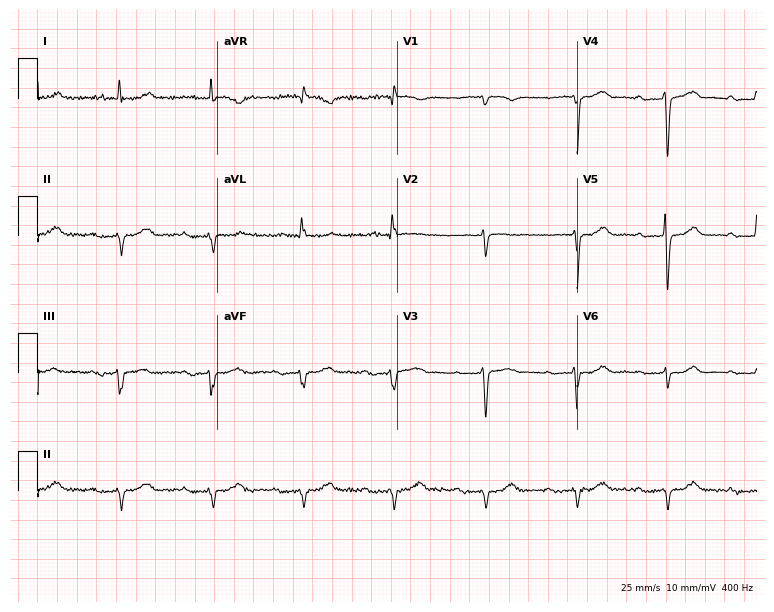
Standard 12-lead ECG recorded from a male, 75 years old. None of these six findings is recorded: first-degree AV block, right bundle branch block, left bundle branch block, sinus bradycardia, atrial fibrillation, sinus tachycardia.